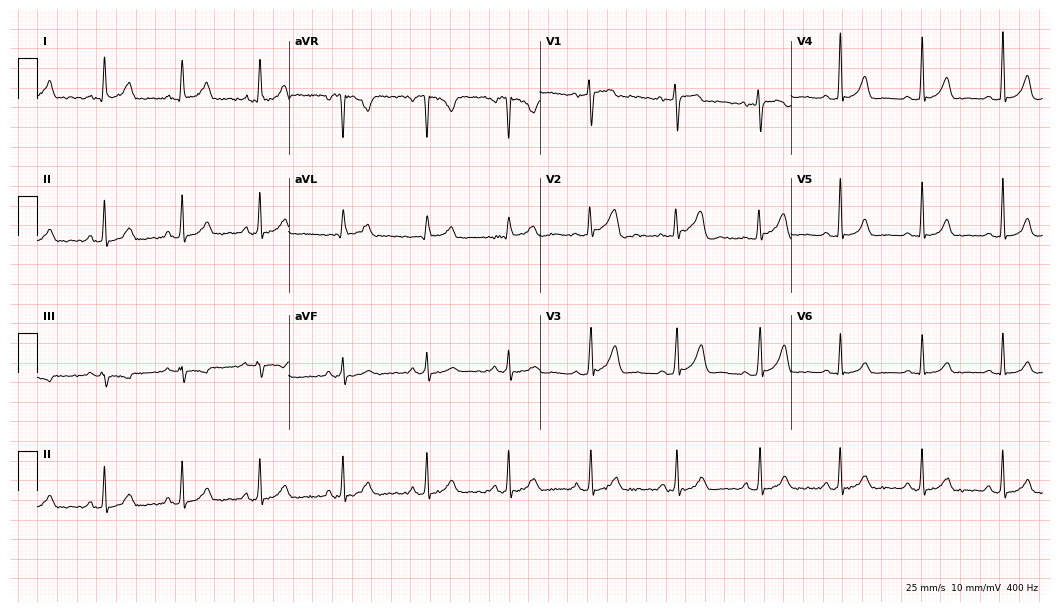
12-lead ECG from a female, 42 years old. Recorded interpretation: within normal limits.